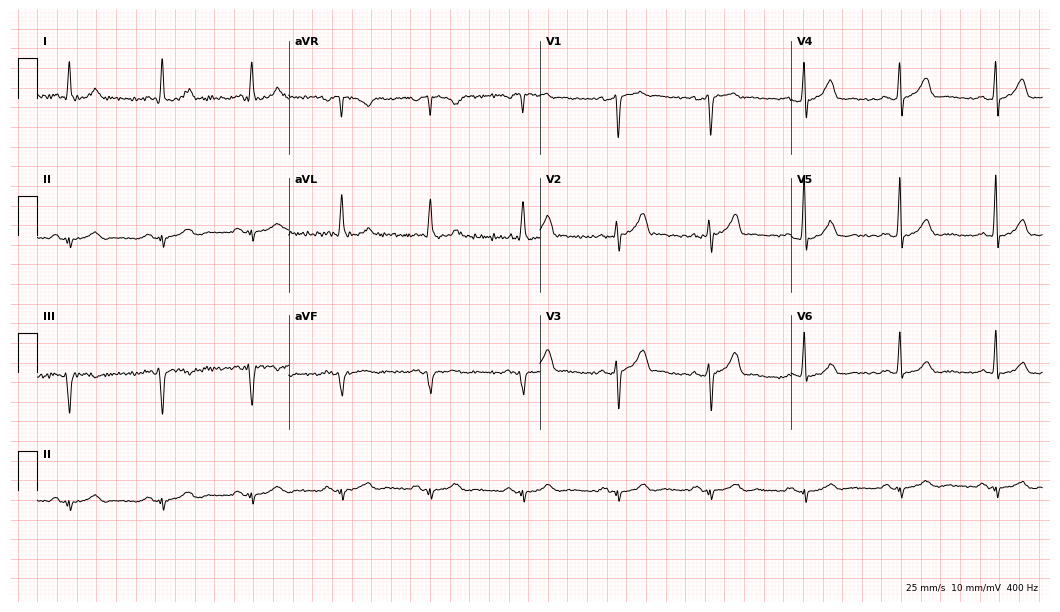
Resting 12-lead electrocardiogram (10.2-second recording at 400 Hz). Patient: a 61-year-old man. None of these six findings is recorded: first-degree AV block, right bundle branch block, left bundle branch block, sinus bradycardia, atrial fibrillation, sinus tachycardia. Only these six findings were labelled.